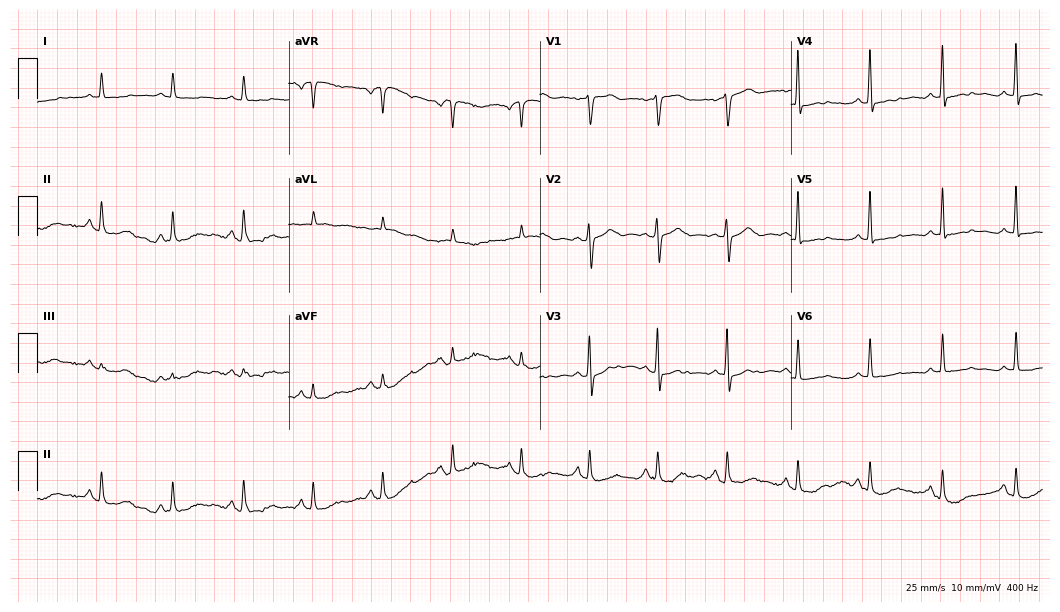
Electrocardiogram, a woman, 66 years old. Of the six screened findings (first-degree AV block, right bundle branch block, left bundle branch block, sinus bradycardia, atrial fibrillation, sinus tachycardia), none is recorded.